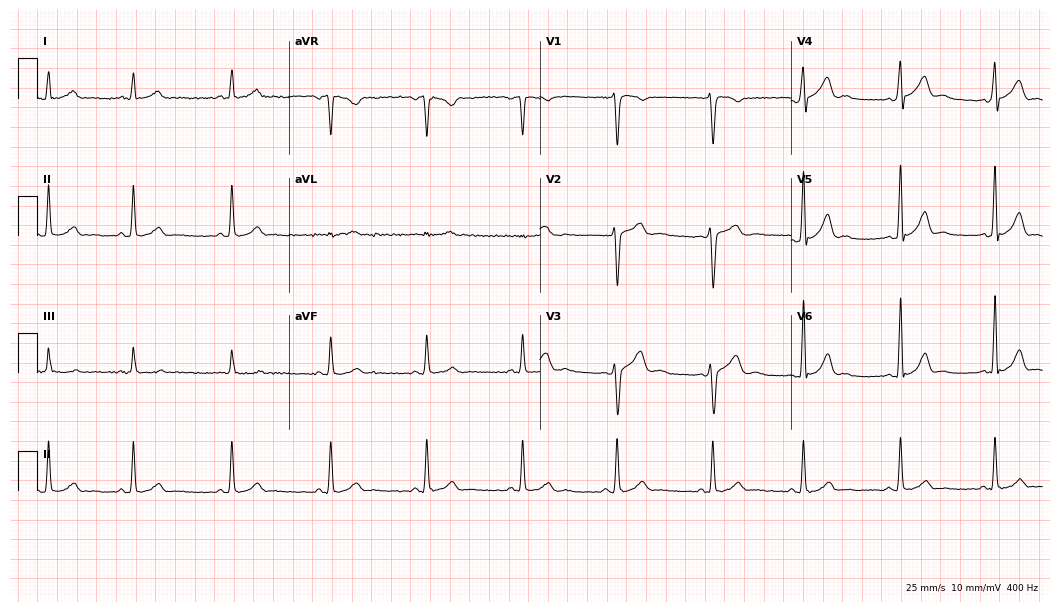
ECG — a male patient, 33 years old. Labelled as a normal ECG.